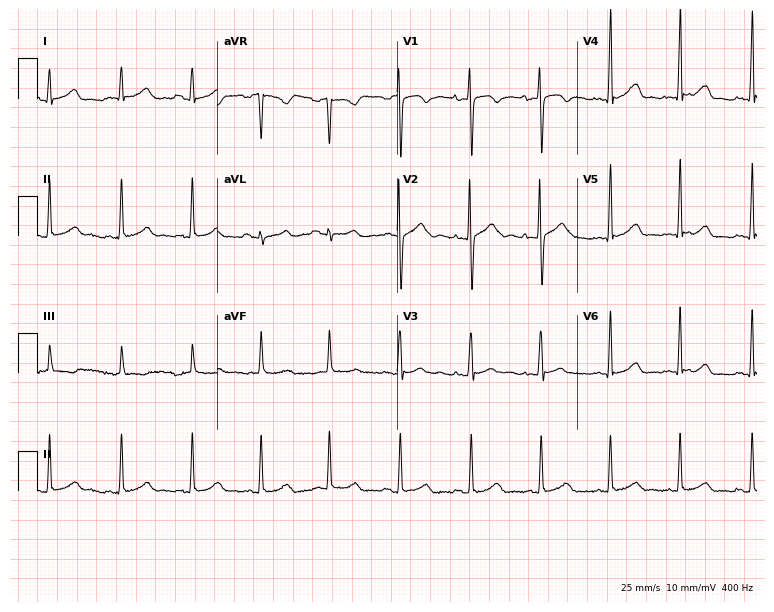
ECG (7.3-second recording at 400 Hz) — a 20-year-old woman. Labelled as a normal ECG.